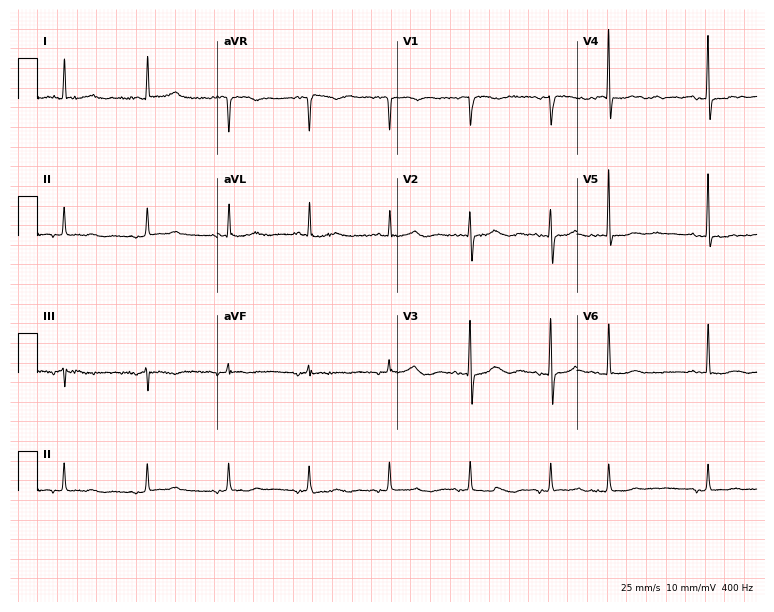
12-lead ECG from a 78-year-old woman (7.3-second recording at 400 Hz). No first-degree AV block, right bundle branch block, left bundle branch block, sinus bradycardia, atrial fibrillation or sinus tachycardia recorded for this tracing.